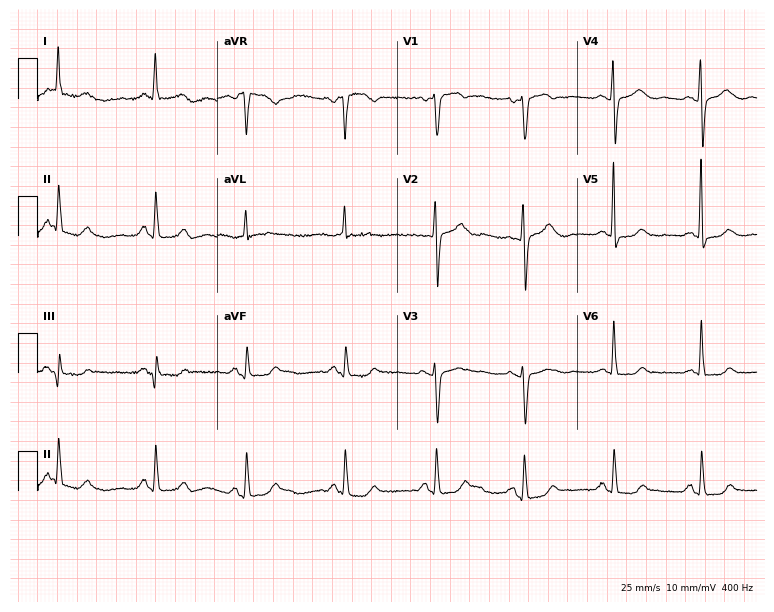
Electrocardiogram (7.3-second recording at 400 Hz), a female, 62 years old. Of the six screened findings (first-degree AV block, right bundle branch block, left bundle branch block, sinus bradycardia, atrial fibrillation, sinus tachycardia), none is recorded.